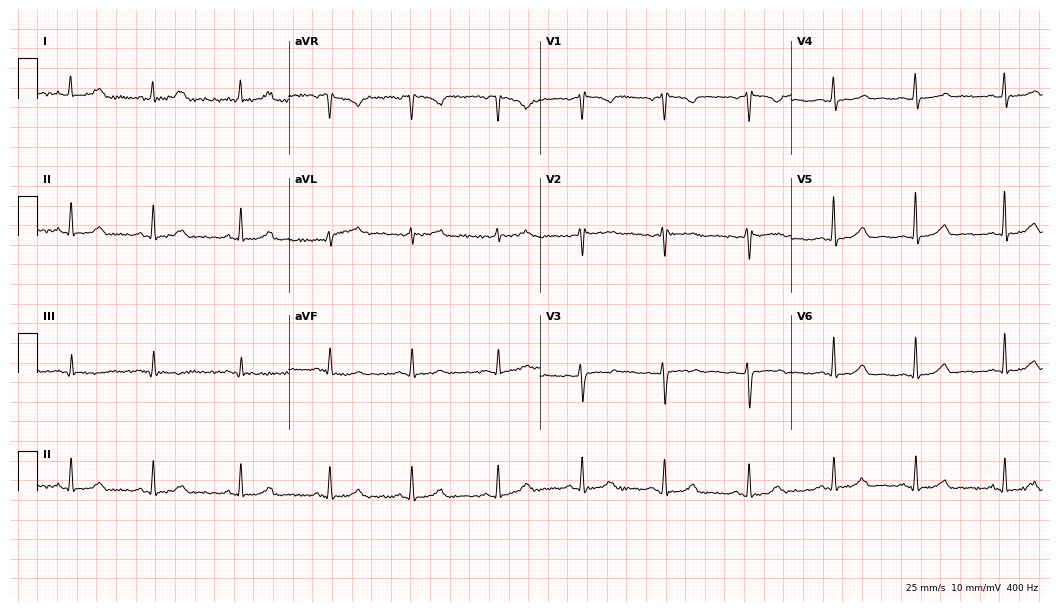
Electrocardiogram, a 44-year-old female patient. Of the six screened findings (first-degree AV block, right bundle branch block, left bundle branch block, sinus bradycardia, atrial fibrillation, sinus tachycardia), none is recorded.